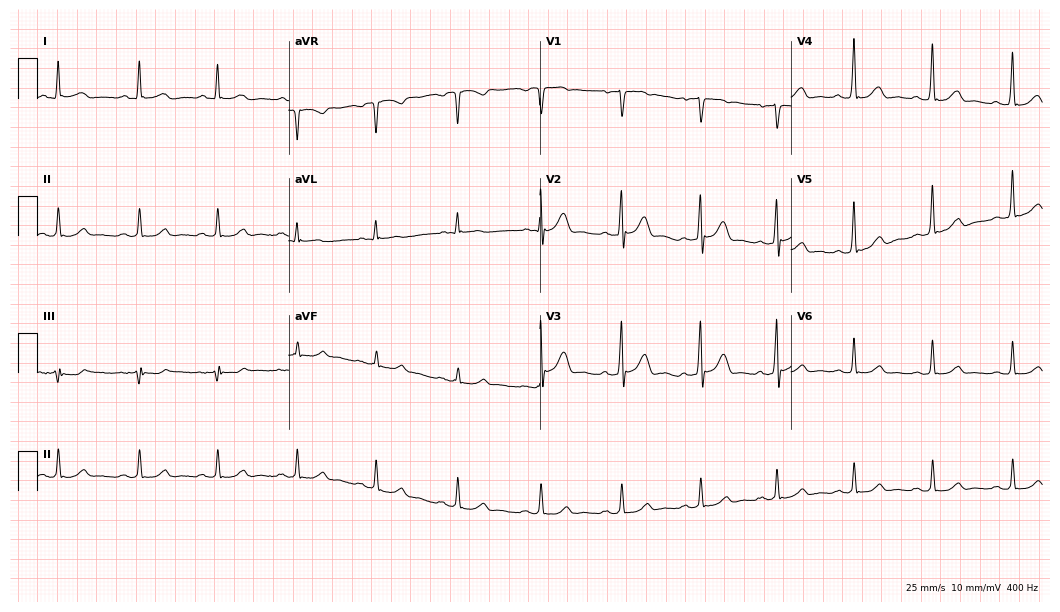
Standard 12-lead ECG recorded from a male patient, 55 years old. Read as a normal ECG.